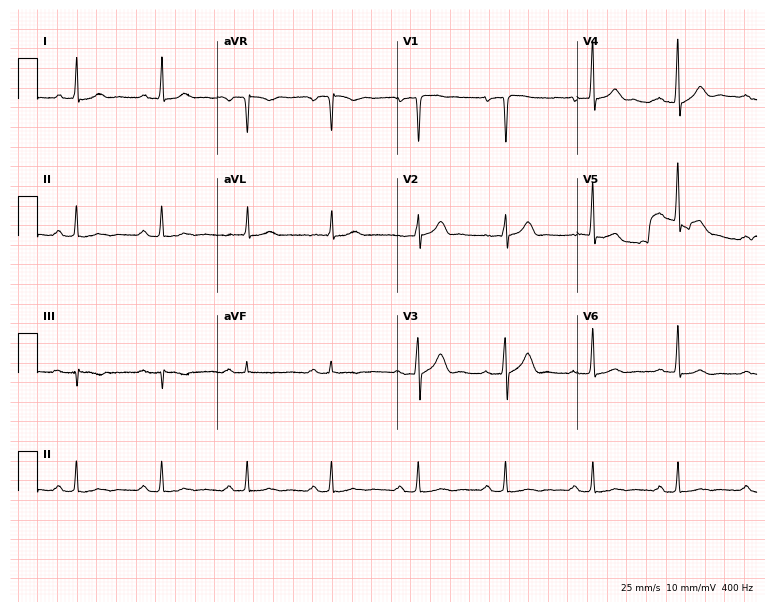
Standard 12-lead ECG recorded from a male patient, 56 years old. None of these six findings is recorded: first-degree AV block, right bundle branch block, left bundle branch block, sinus bradycardia, atrial fibrillation, sinus tachycardia.